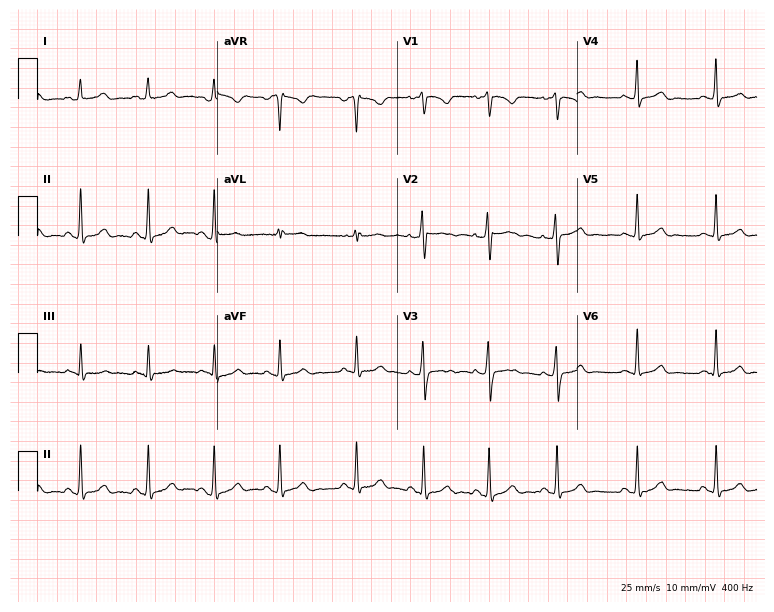
12-lead ECG from a 22-year-old female. Labelled as a normal ECG.